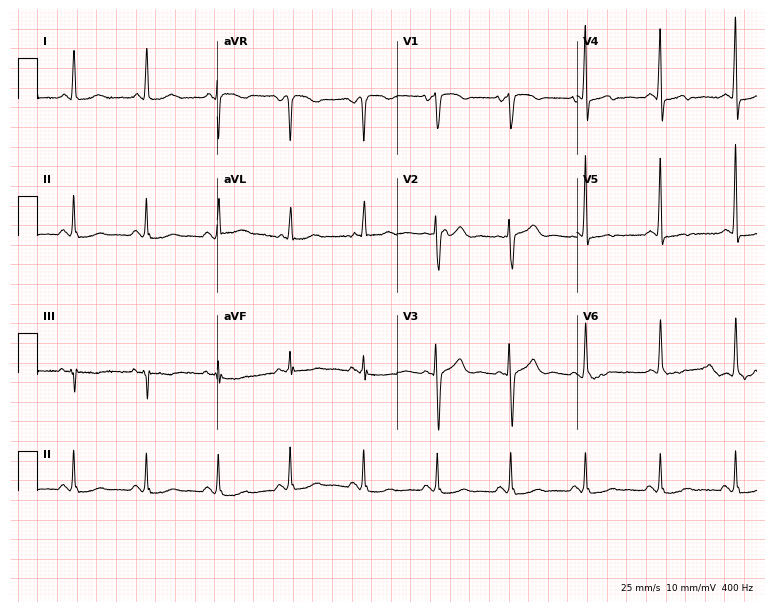
12-lead ECG from a 70-year-old female (7.3-second recording at 400 Hz). No first-degree AV block, right bundle branch block, left bundle branch block, sinus bradycardia, atrial fibrillation or sinus tachycardia recorded for this tracing.